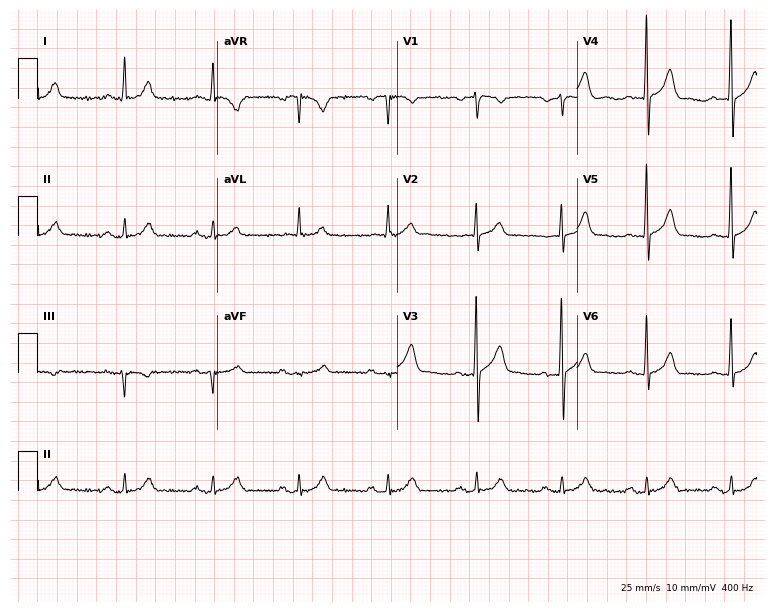
Standard 12-lead ECG recorded from a 39-year-old man. Read as a normal ECG.